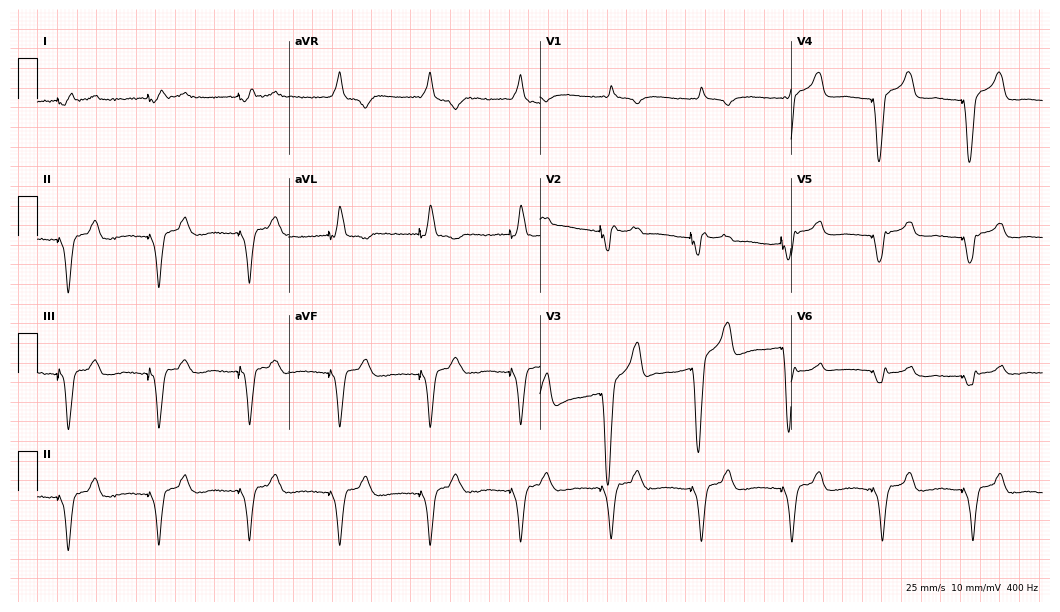
Electrocardiogram (10.2-second recording at 400 Hz), a male patient, 54 years old. Of the six screened findings (first-degree AV block, right bundle branch block, left bundle branch block, sinus bradycardia, atrial fibrillation, sinus tachycardia), none is recorded.